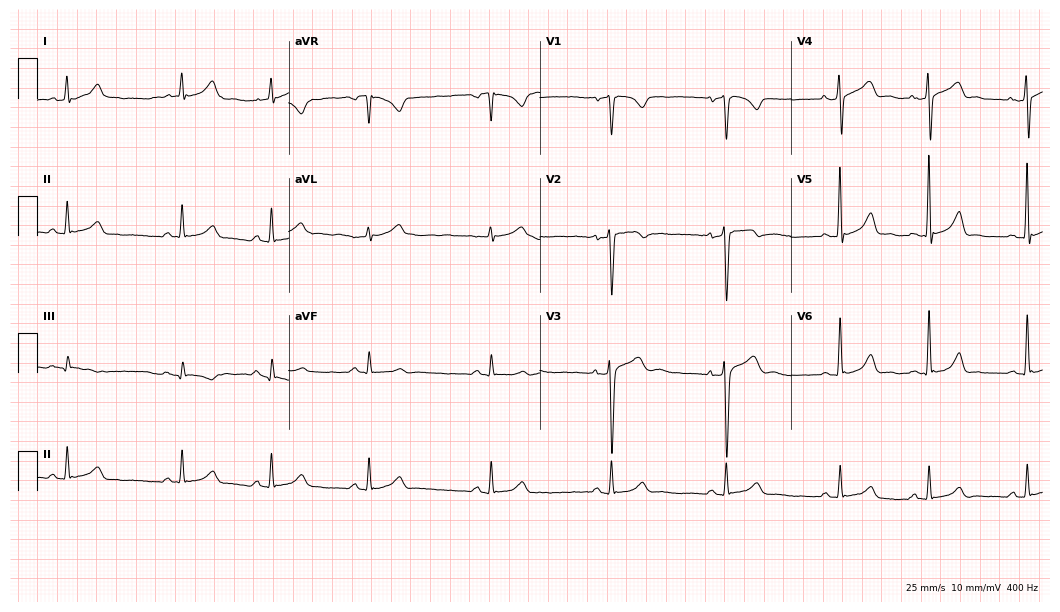
Electrocardiogram, a male patient, 53 years old. Of the six screened findings (first-degree AV block, right bundle branch block, left bundle branch block, sinus bradycardia, atrial fibrillation, sinus tachycardia), none is recorded.